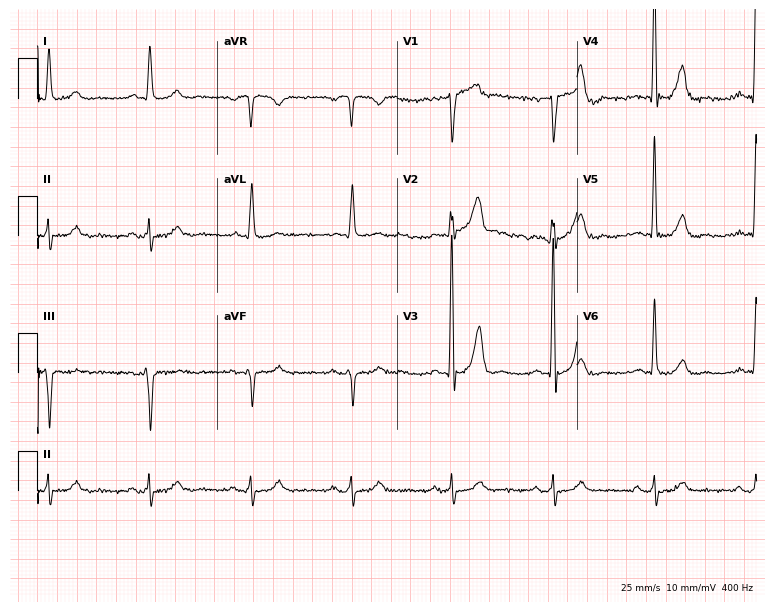
ECG — a male, 70 years old. Screened for six findings — first-degree AV block, right bundle branch block (RBBB), left bundle branch block (LBBB), sinus bradycardia, atrial fibrillation (AF), sinus tachycardia — none is recorded.